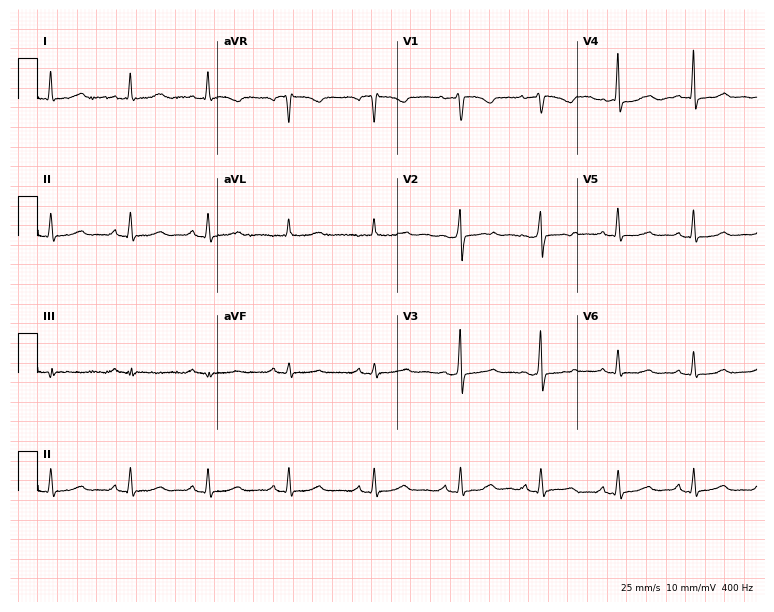
Electrocardiogram (7.3-second recording at 400 Hz), a 40-year-old woman. Of the six screened findings (first-degree AV block, right bundle branch block, left bundle branch block, sinus bradycardia, atrial fibrillation, sinus tachycardia), none is recorded. Findings outside these six are not listed.